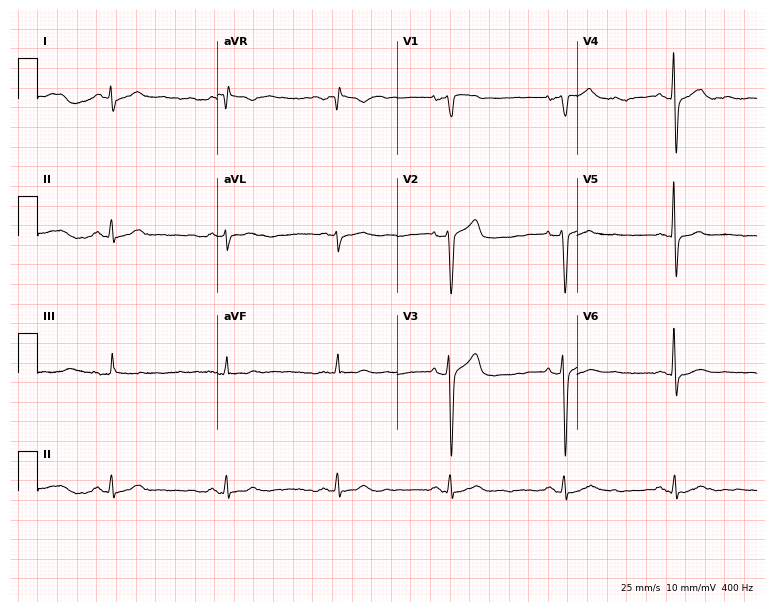
12-lead ECG (7.3-second recording at 400 Hz) from a 56-year-old man. Screened for six findings — first-degree AV block, right bundle branch block, left bundle branch block, sinus bradycardia, atrial fibrillation, sinus tachycardia — none is recorded. Other findings, if any, are not listed.